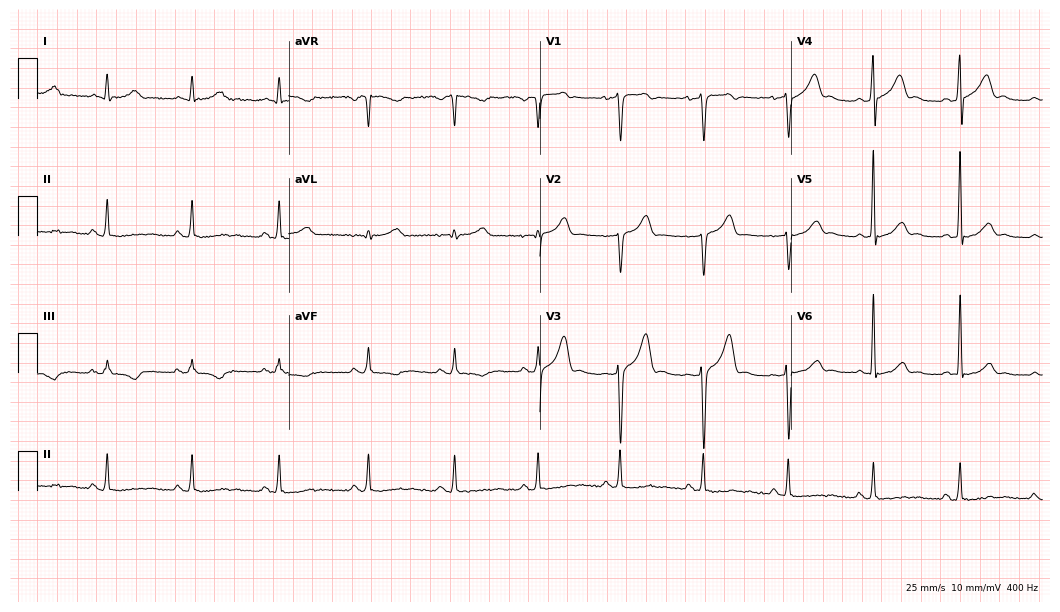
Electrocardiogram, a 27-year-old man. Of the six screened findings (first-degree AV block, right bundle branch block (RBBB), left bundle branch block (LBBB), sinus bradycardia, atrial fibrillation (AF), sinus tachycardia), none is recorded.